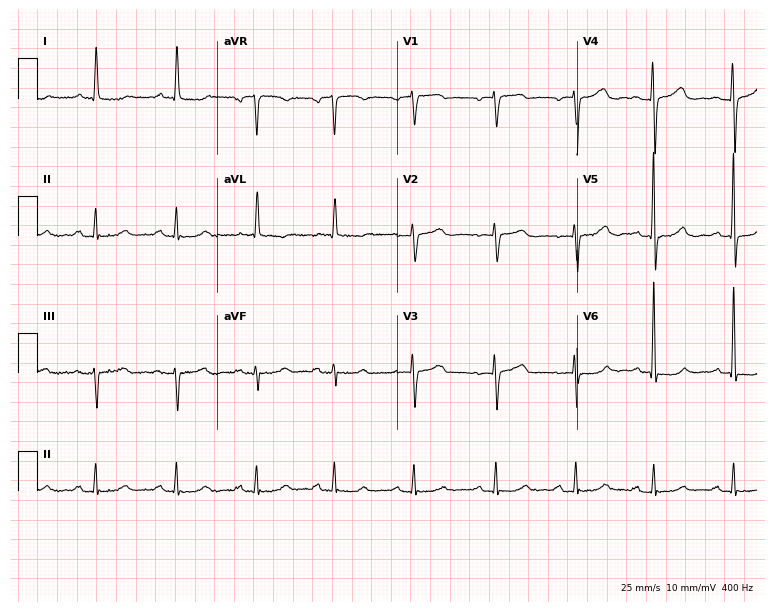
ECG (7.3-second recording at 400 Hz) — a 74-year-old female patient. Screened for six findings — first-degree AV block, right bundle branch block, left bundle branch block, sinus bradycardia, atrial fibrillation, sinus tachycardia — none is recorded.